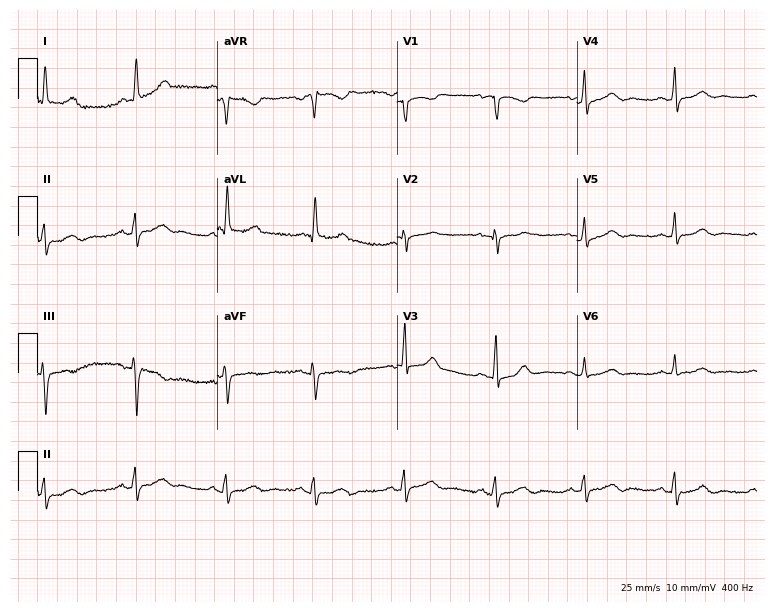
ECG (7.3-second recording at 400 Hz) — a female, 59 years old. Labelled as a normal ECG.